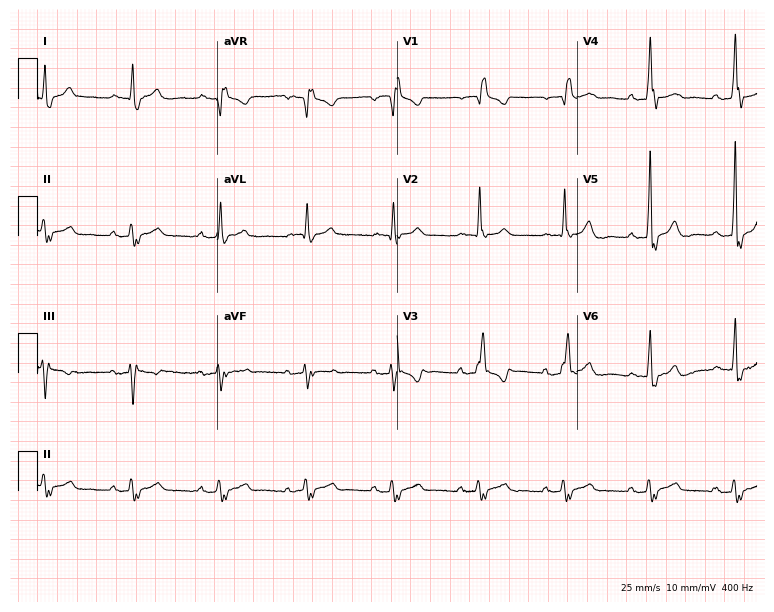
12-lead ECG from an 81-year-old male (7.3-second recording at 400 Hz). Shows right bundle branch block.